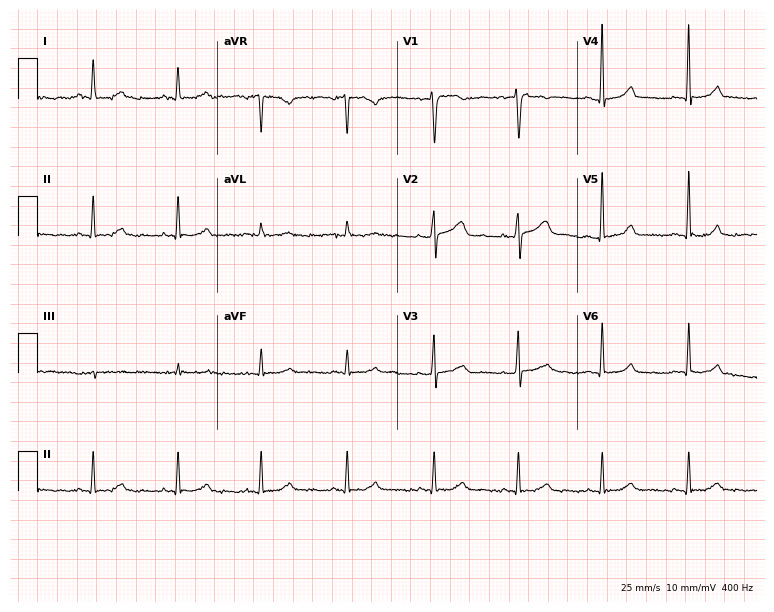
ECG (7.3-second recording at 400 Hz) — a woman, 51 years old. Labelled as a normal ECG.